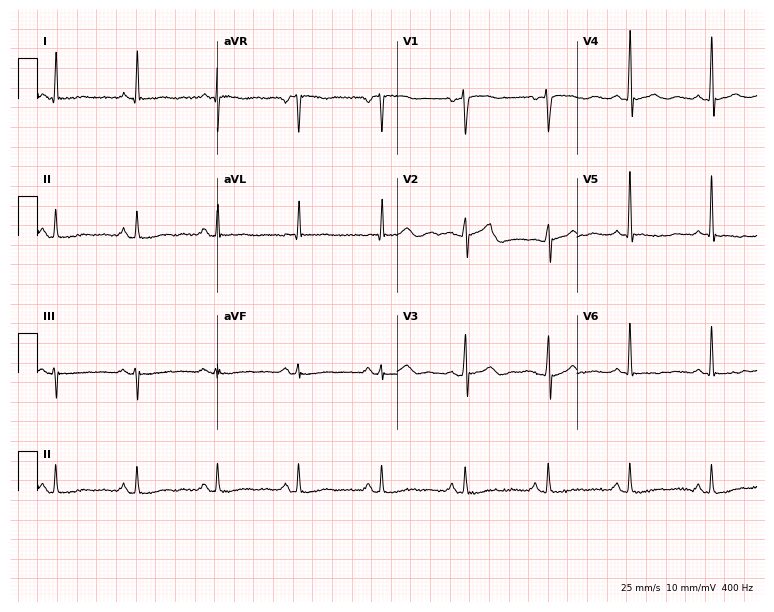
Standard 12-lead ECG recorded from a 51-year-old female patient (7.3-second recording at 400 Hz). Read as a normal ECG.